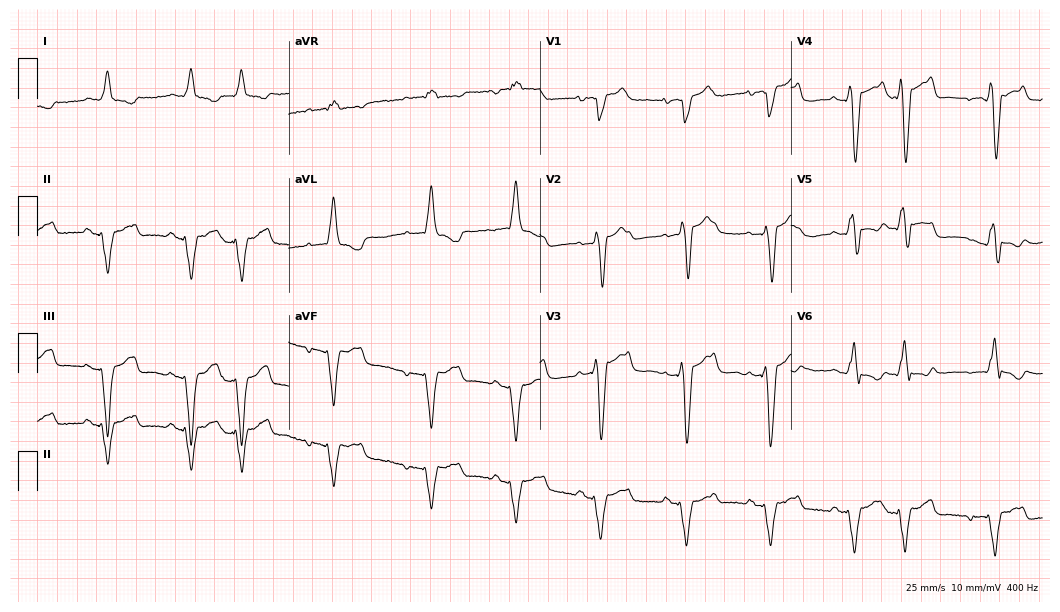
Standard 12-lead ECG recorded from a 45-year-old male (10.2-second recording at 400 Hz). The tracing shows left bundle branch block (LBBB).